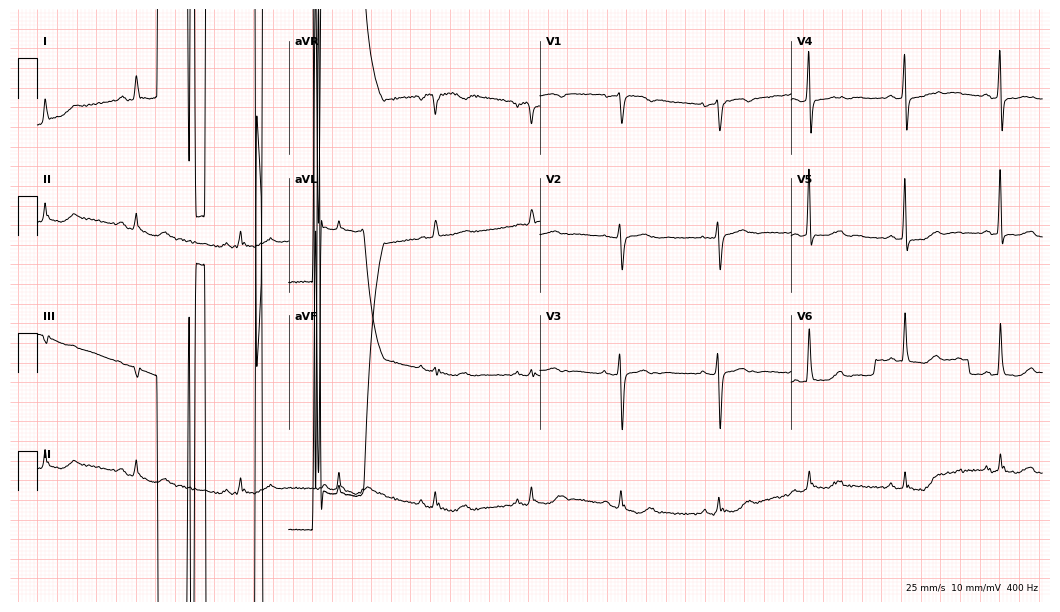
Electrocardiogram (10.2-second recording at 400 Hz), a 70-year-old female patient. Of the six screened findings (first-degree AV block, right bundle branch block (RBBB), left bundle branch block (LBBB), sinus bradycardia, atrial fibrillation (AF), sinus tachycardia), none is recorded.